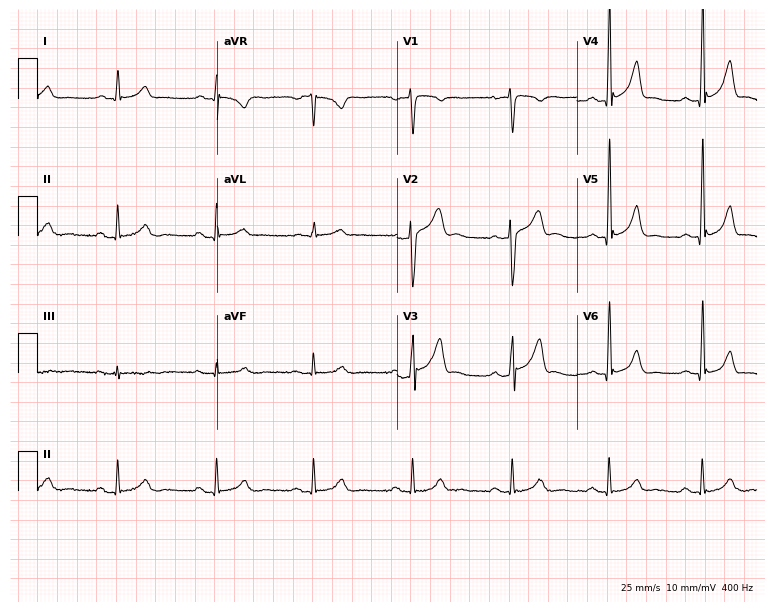
ECG (7.3-second recording at 400 Hz) — a male, 27 years old. Screened for six findings — first-degree AV block, right bundle branch block, left bundle branch block, sinus bradycardia, atrial fibrillation, sinus tachycardia — none is recorded. Only these six findings were labelled.